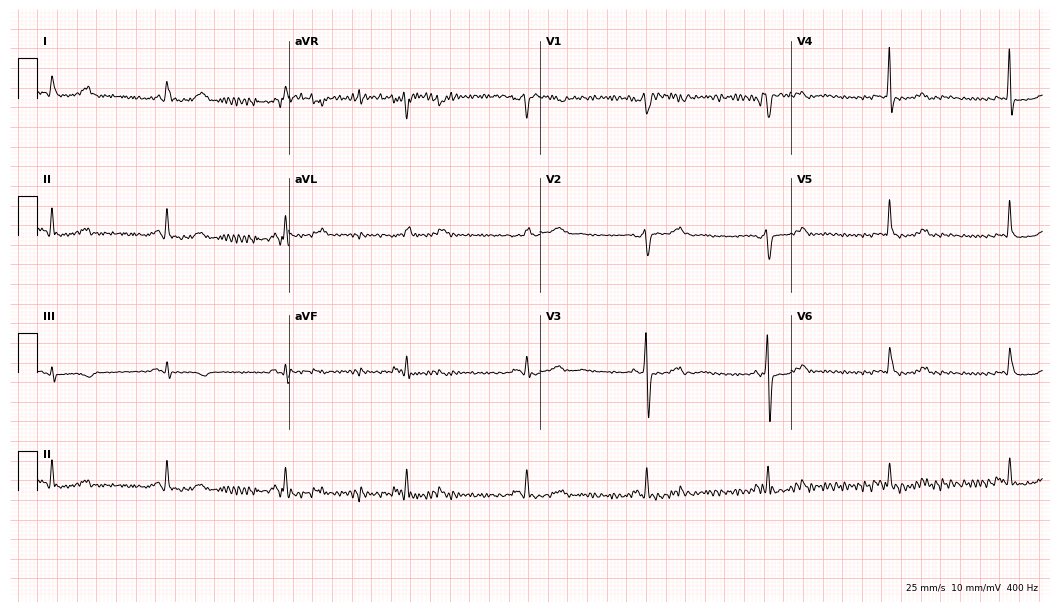
Electrocardiogram (10.2-second recording at 400 Hz), a 71-year-old female patient. Interpretation includes sinus bradycardia (a sinus rate of 50 beats per minute or less).